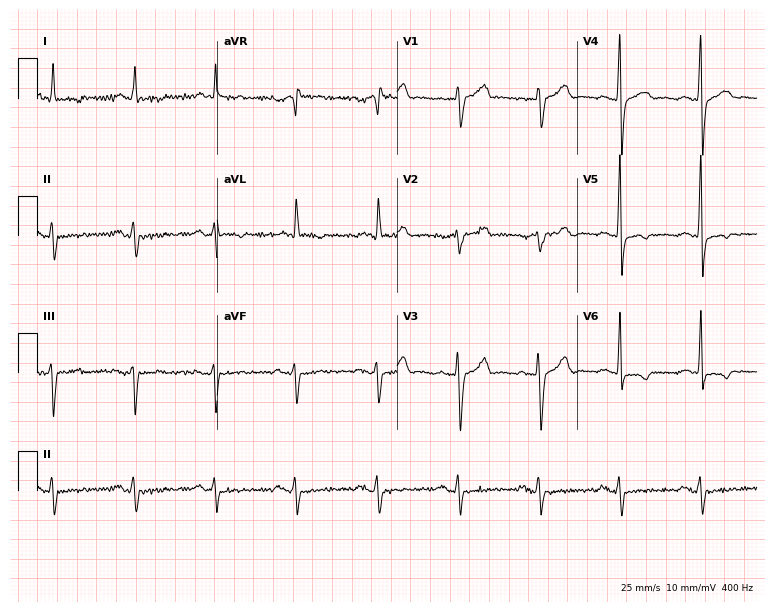
12-lead ECG from a male, 63 years old. Screened for six findings — first-degree AV block, right bundle branch block, left bundle branch block, sinus bradycardia, atrial fibrillation, sinus tachycardia — none is recorded. Other findings, if any, are not listed.